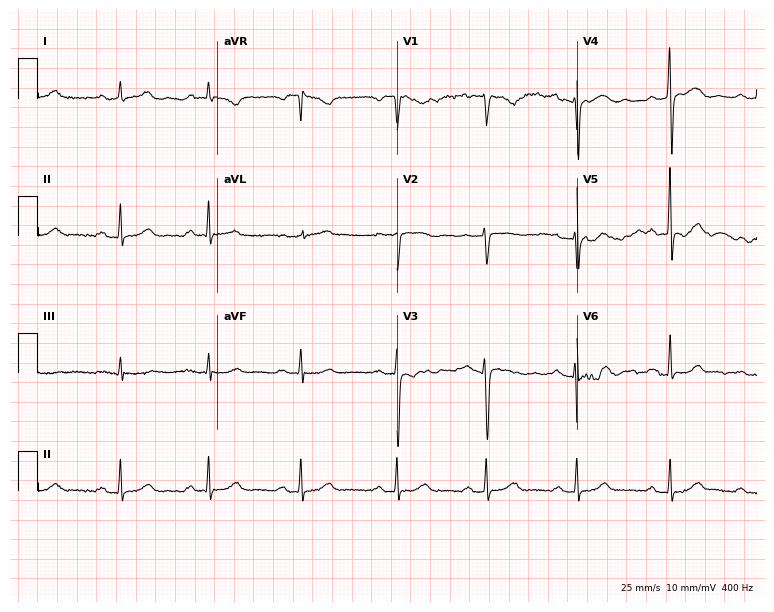
12-lead ECG from a 33-year-old female patient (7.3-second recording at 400 Hz). Recorded interpretation: within normal limits.